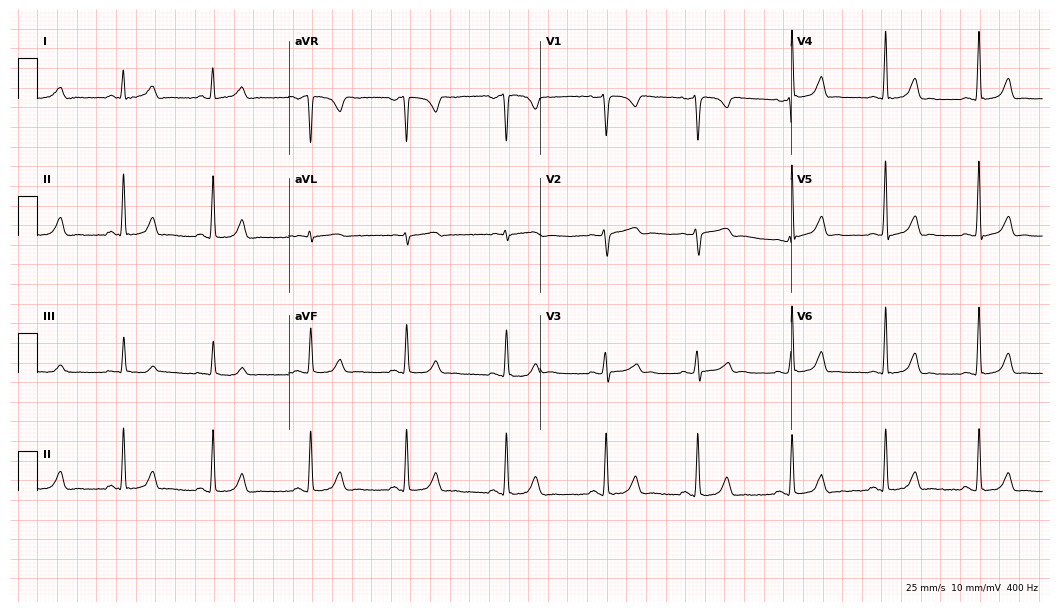
Resting 12-lead electrocardiogram (10.2-second recording at 400 Hz). Patient: a woman, 27 years old. Read as a normal ECG.